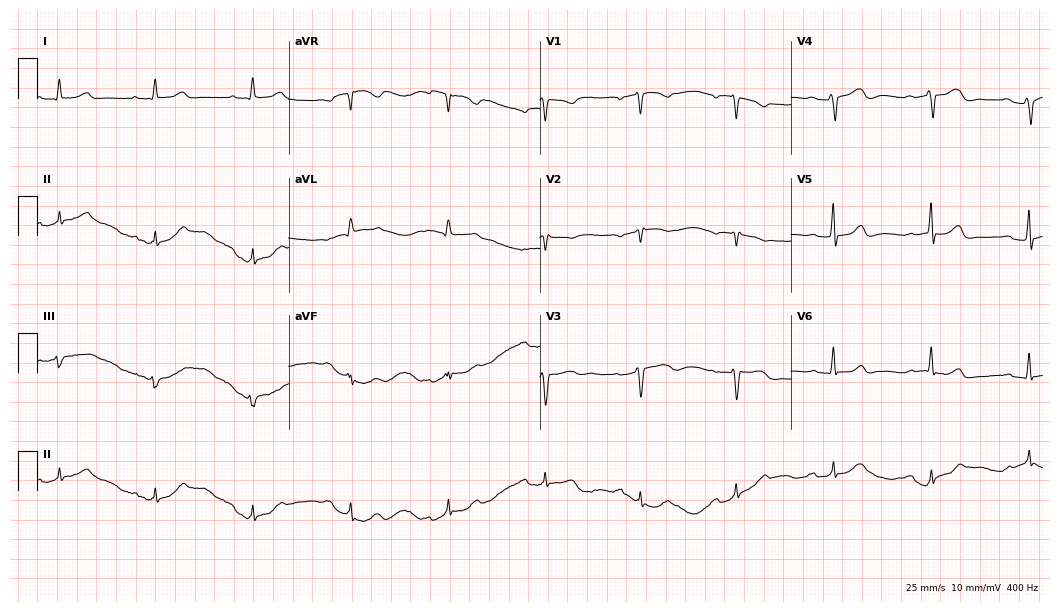
12-lead ECG (10.2-second recording at 400 Hz) from a female patient, 55 years old. Screened for six findings — first-degree AV block, right bundle branch block, left bundle branch block, sinus bradycardia, atrial fibrillation, sinus tachycardia — none is recorded. Only these six findings were labelled.